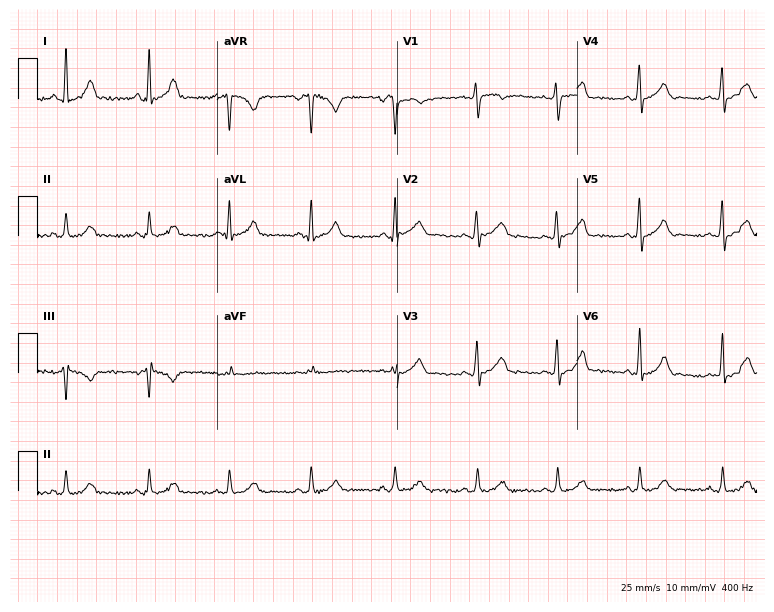
12-lead ECG from a woman, 30 years old. Screened for six findings — first-degree AV block, right bundle branch block, left bundle branch block, sinus bradycardia, atrial fibrillation, sinus tachycardia — none is recorded.